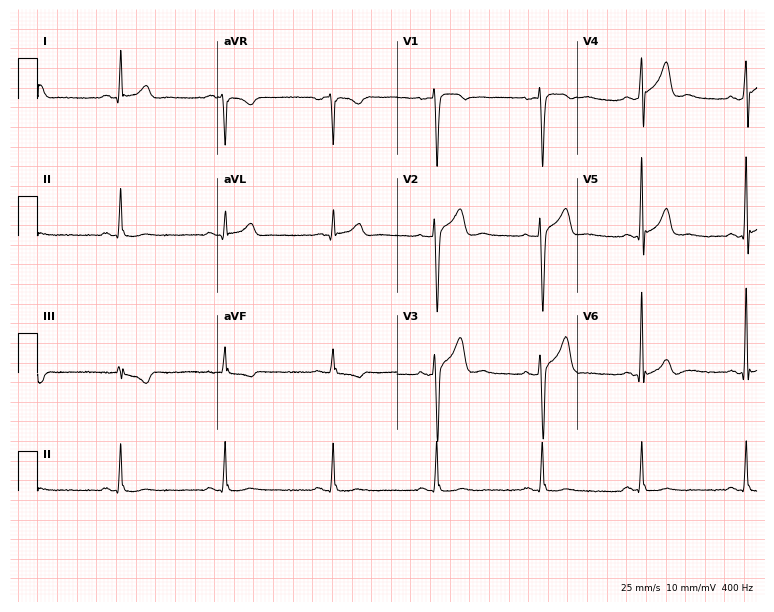
ECG — a male patient, 41 years old. Labelled as a normal ECG.